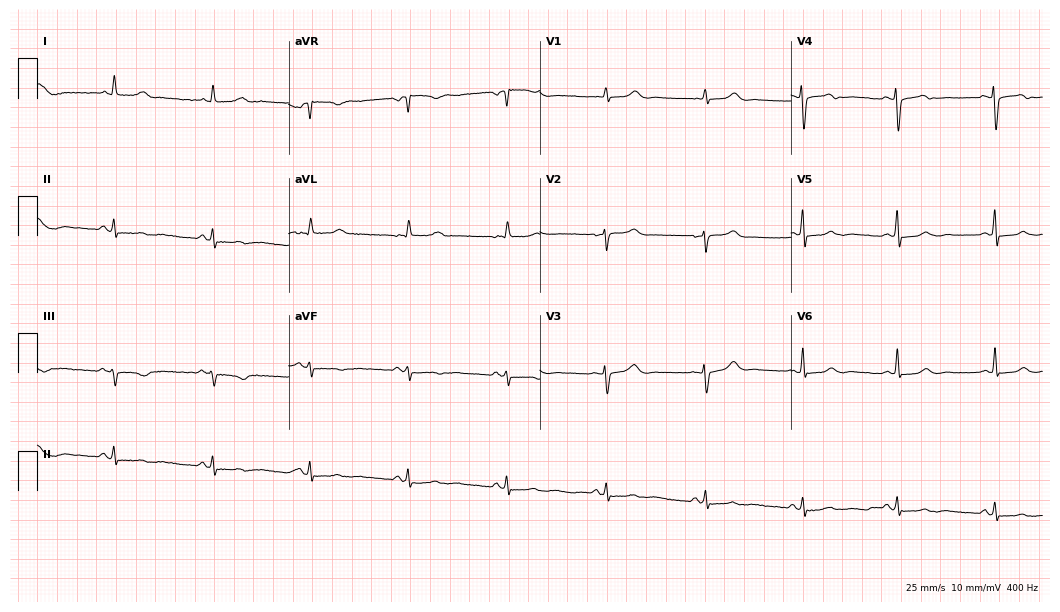
Electrocardiogram (10.2-second recording at 400 Hz), a 48-year-old female. Overall reading on record: normal ECG.